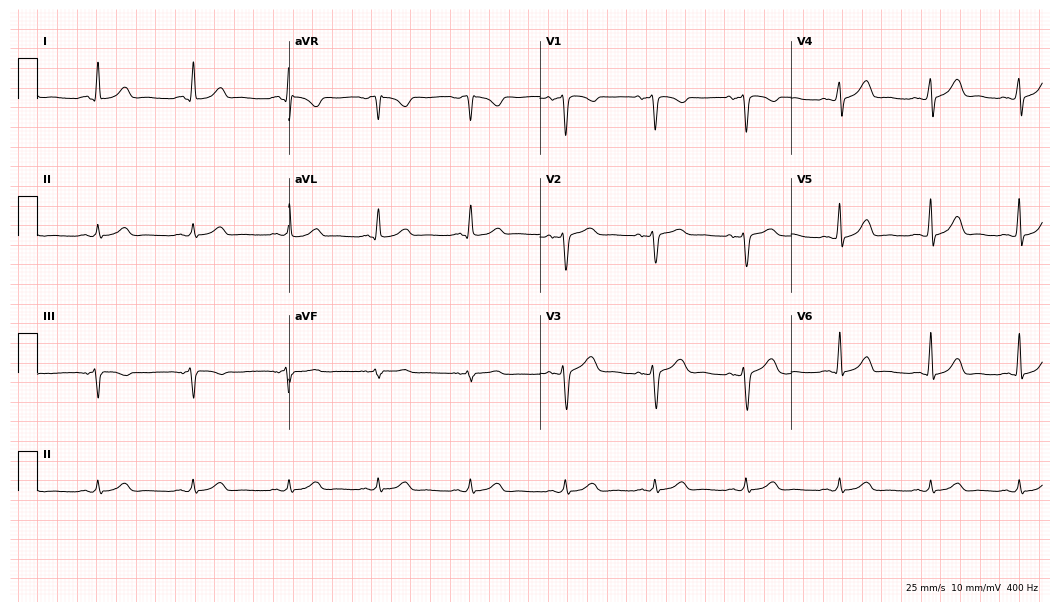
12-lead ECG from a female, 45 years old. Recorded interpretation: within normal limits.